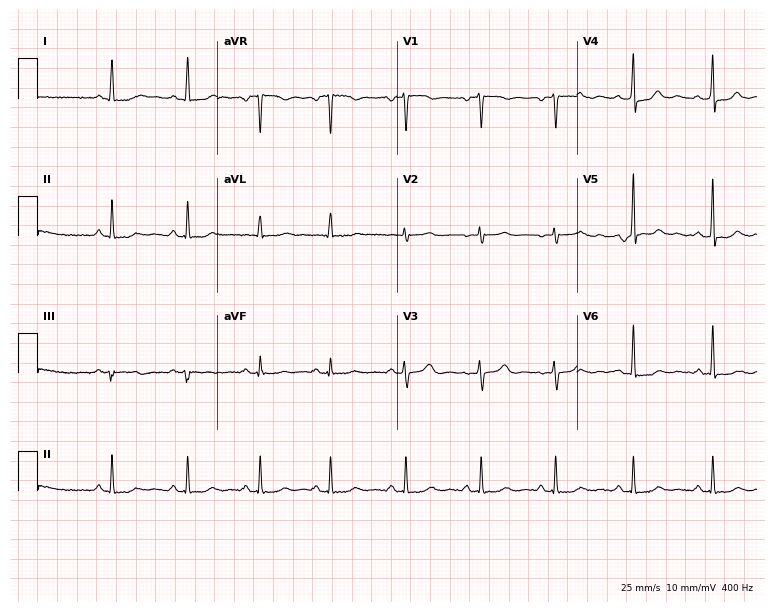
12-lead ECG from a woman, 66 years old (7.3-second recording at 400 Hz). No first-degree AV block, right bundle branch block, left bundle branch block, sinus bradycardia, atrial fibrillation or sinus tachycardia recorded for this tracing. Only these six findings were labelled.